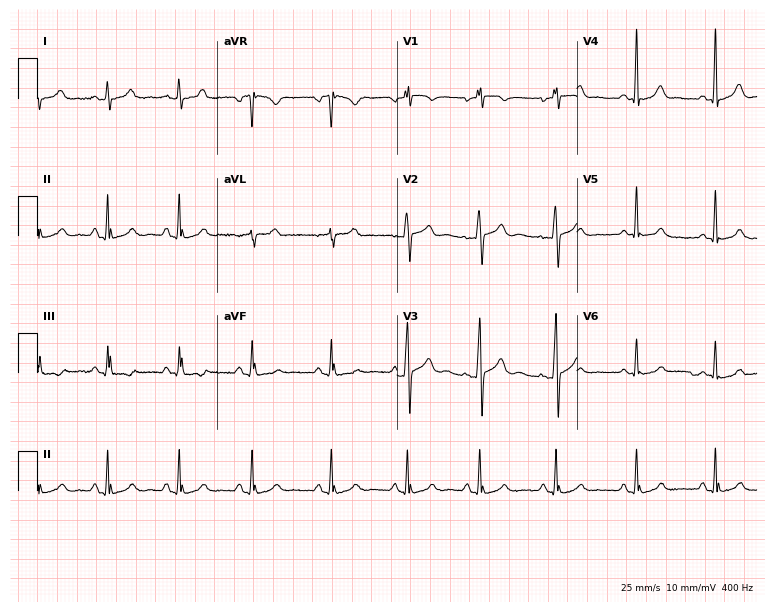
12-lead ECG from a woman, 18 years old. Recorded interpretation: within normal limits.